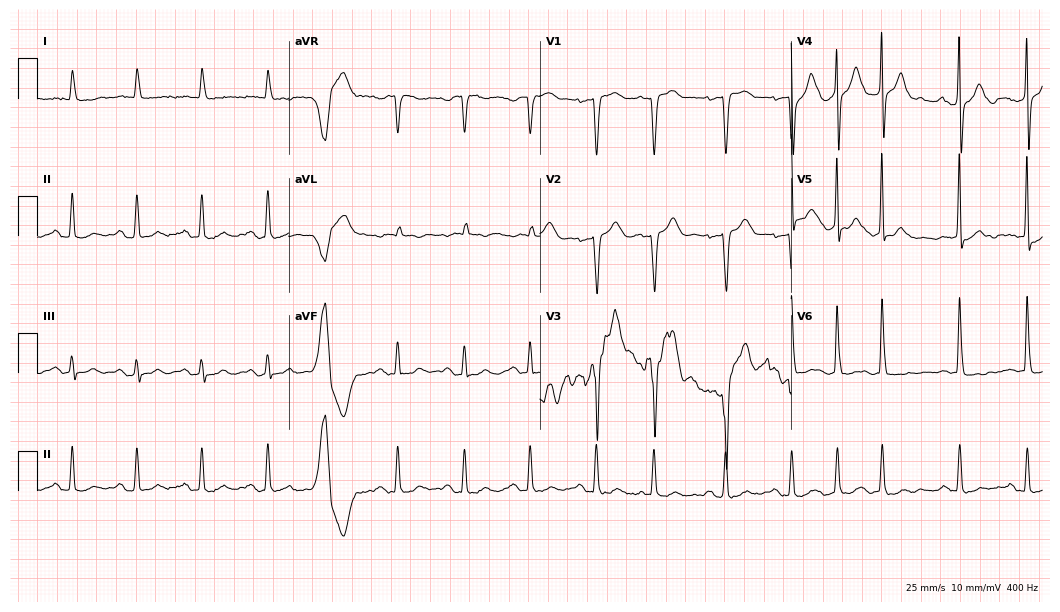
12-lead ECG from a 73-year-old man (10.2-second recording at 400 Hz). Recorded interpretation: within normal limits.